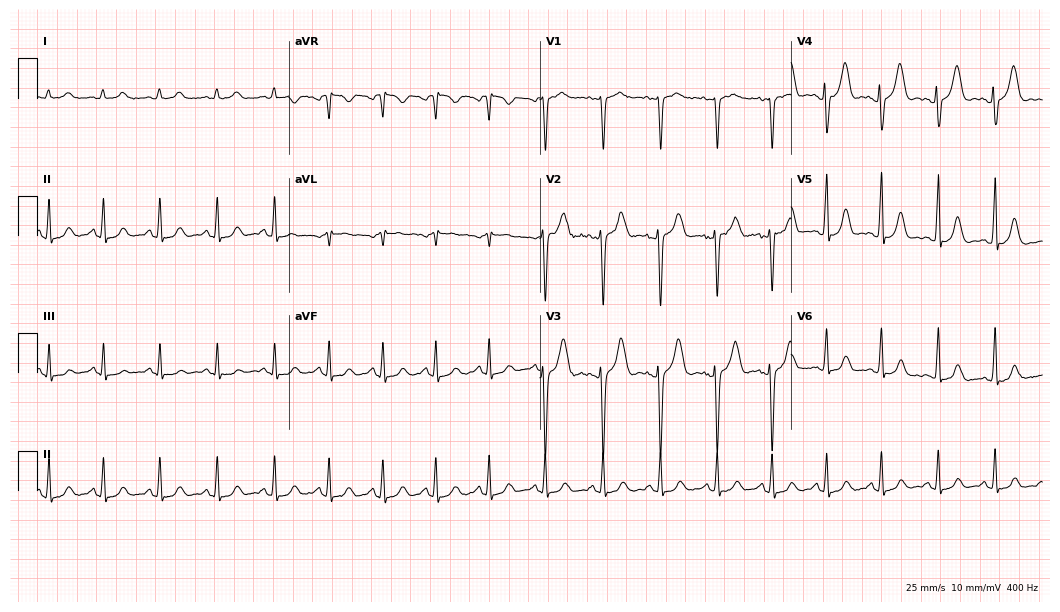
Resting 12-lead electrocardiogram (10.2-second recording at 400 Hz). Patient: a woman, 23 years old. None of these six findings is recorded: first-degree AV block, right bundle branch block, left bundle branch block, sinus bradycardia, atrial fibrillation, sinus tachycardia. Other findings, if any, are not listed.